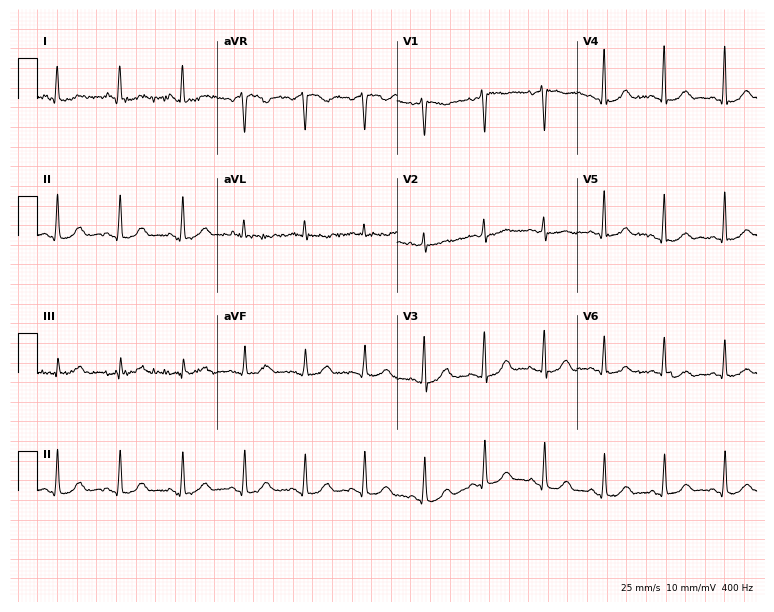
Electrocardiogram, a female, 46 years old. Overall reading on record: normal ECG.